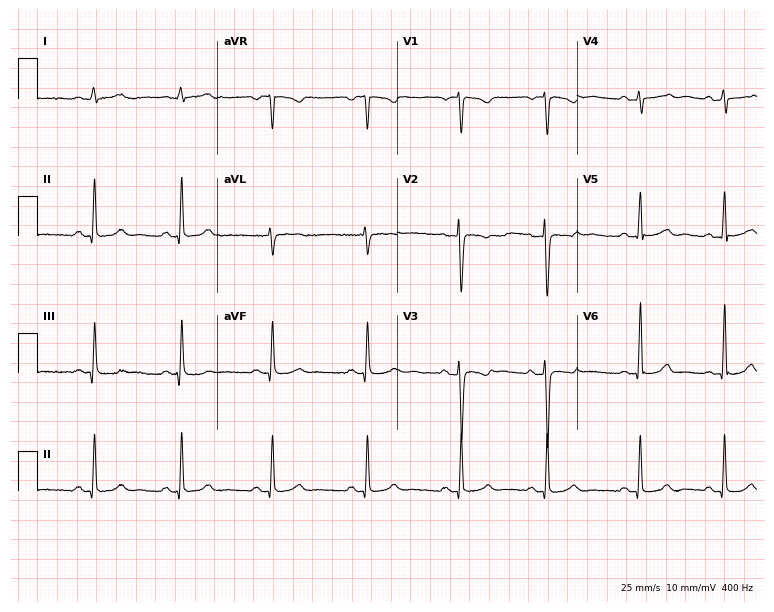
Electrocardiogram, a 25-year-old female. Overall reading on record: normal ECG.